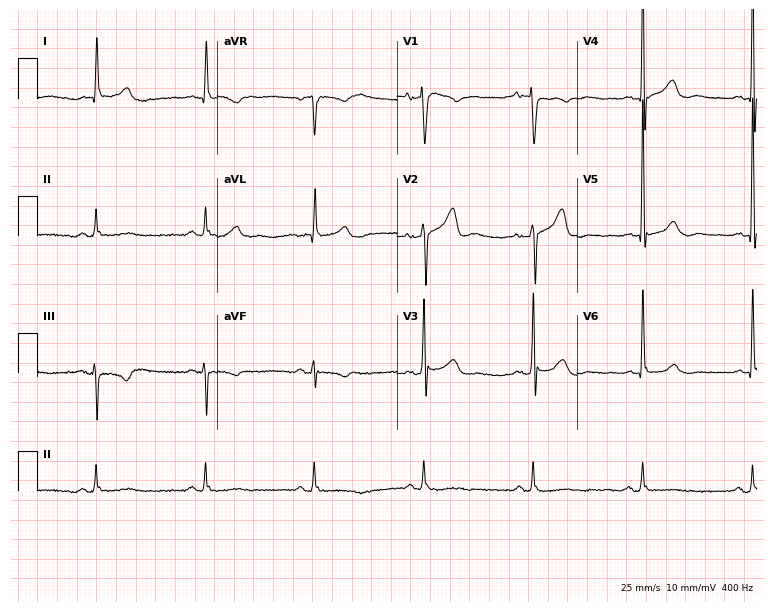
12-lead ECG from a man, 68 years old. Labelled as a normal ECG.